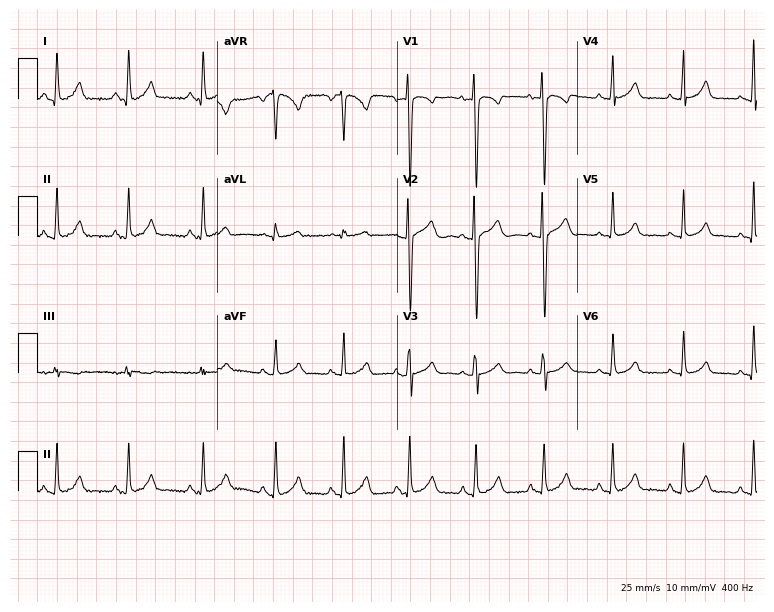
Resting 12-lead electrocardiogram. Patient: a woman, 35 years old. Read as a normal ECG.